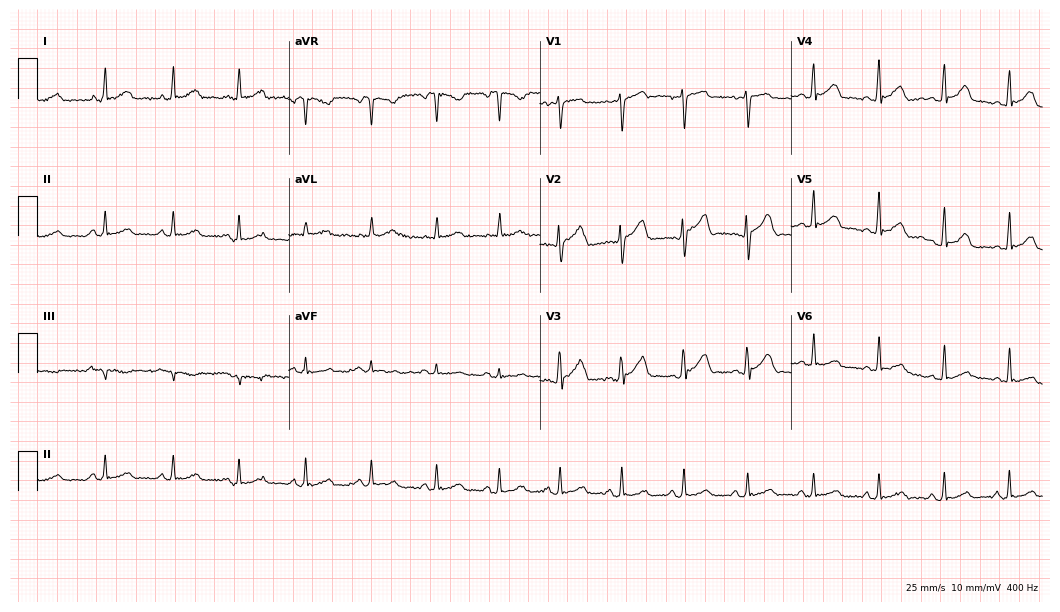
ECG — a female patient, 27 years old. Screened for six findings — first-degree AV block, right bundle branch block (RBBB), left bundle branch block (LBBB), sinus bradycardia, atrial fibrillation (AF), sinus tachycardia — none is recorded. Only these six findings were labelled.